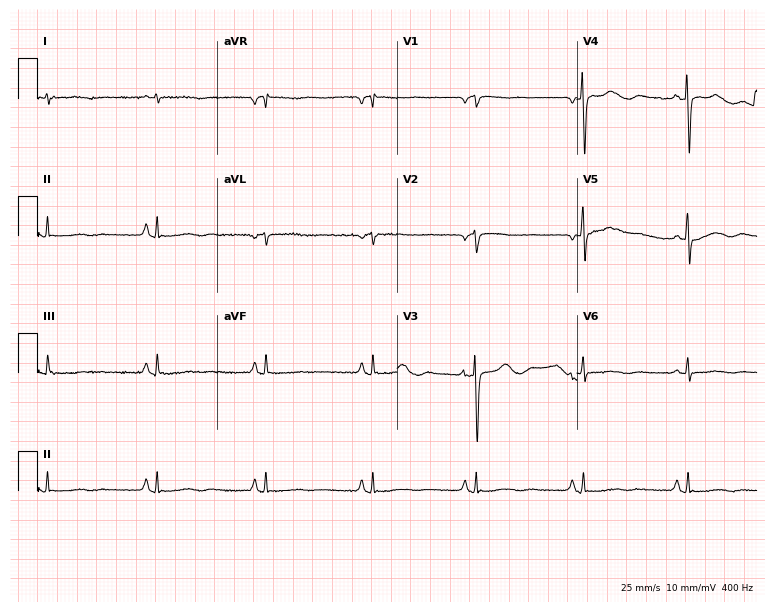
12-lead ECG from an 87-year-old male. Screened for six findings — first-degree AV block, right bundle branch block, left bundle branch block, sinus bradycardia, atrial fibrillation, sinus tachycardia — none is recorded. Only these six findings were labelled.